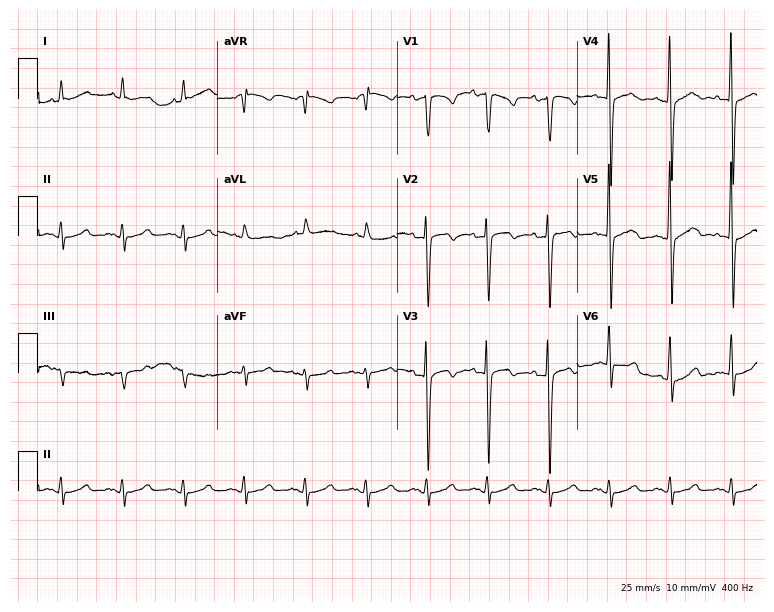
12-lead ECG from an 82-year-old female. Screened for six findings — first-degree AV block, right bundle branch block, left bundle branch block, sinus bradycardia, atrial fibrillation, sinus tachycardia — none is recorded.